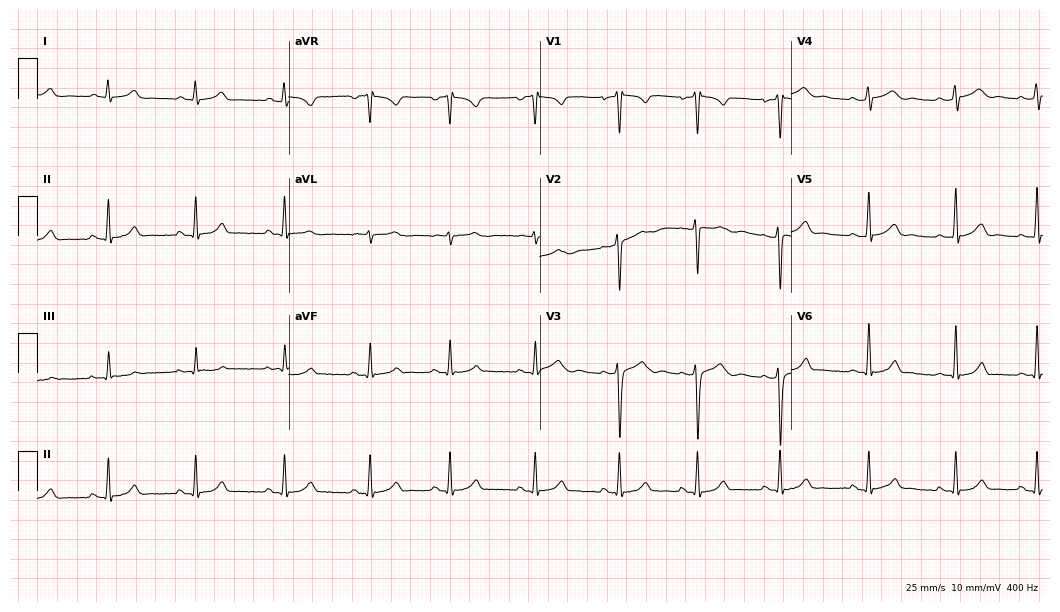
12-lead ECG from a 17-year-old woman. Recorded interpretation: within normal limits.